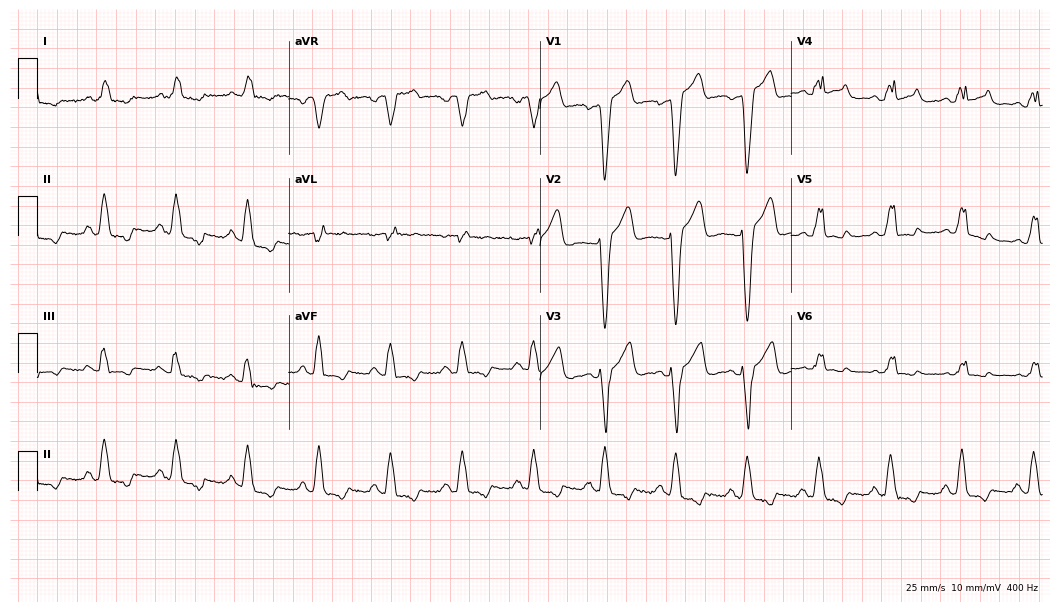
12-lead ECG from a male, 72 years old. Shows left bundle branch block (LBBB).